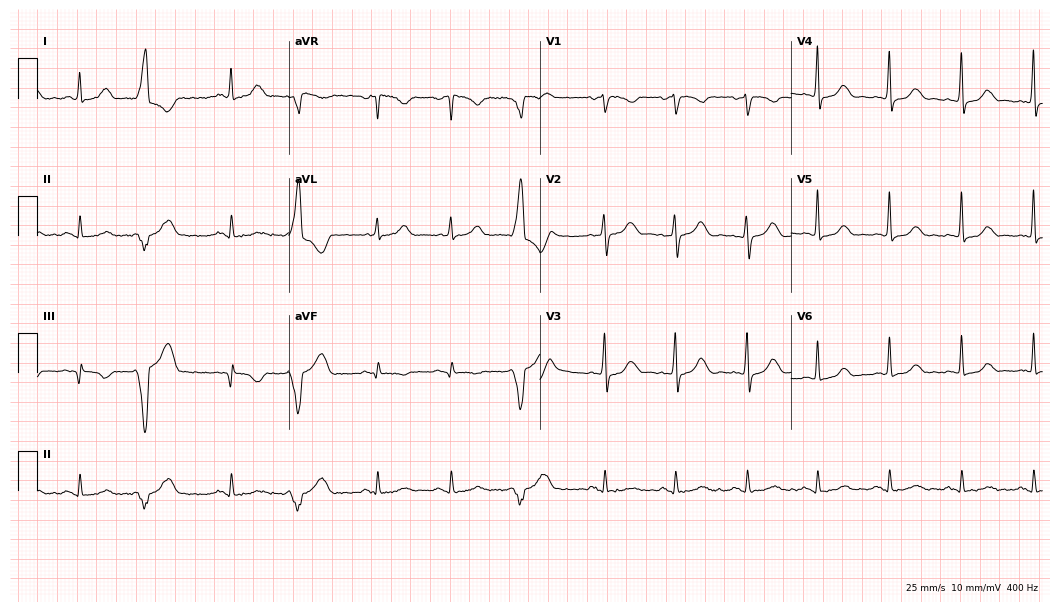
12-lead ECG from a 40-year-old woman (10.2-second recording at 400 Hz). No first-degree AV block, right bundle branch block, left bundle branch block, sinus bradycardia, atrial fibrillation or sinus tachycardia recorded for this tracing. Findings outside these six are not listed.